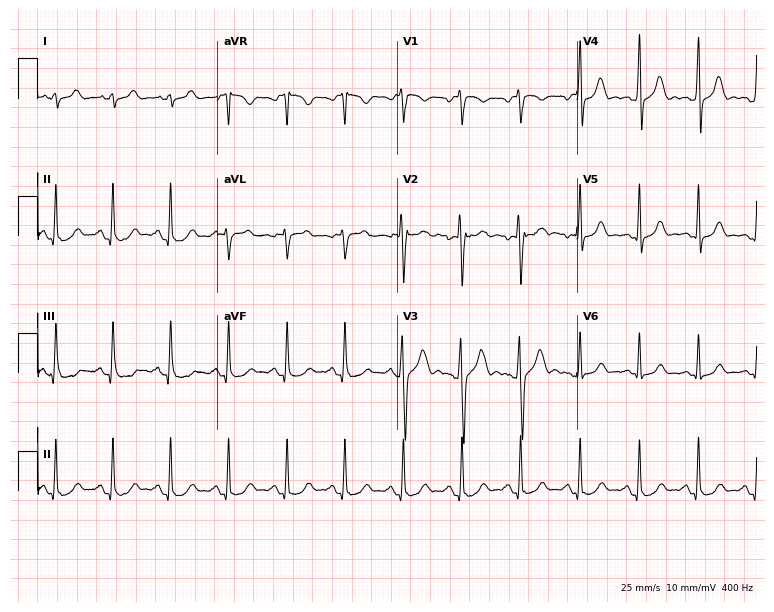
ECG (7.3-second recording at 400 Hz) — a 19-year-old man. Labelled as a normal ECG.